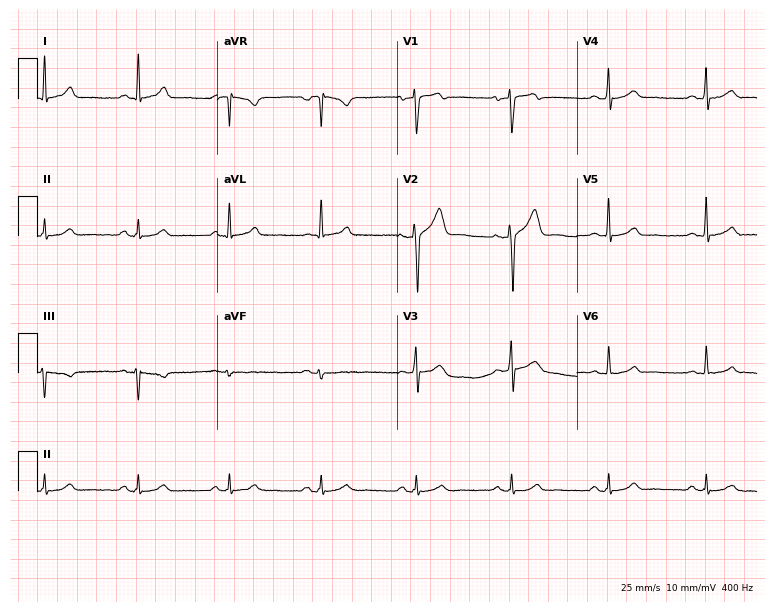
12-lead ECG from a 43-year-old man. Labelled as a normal ECG.